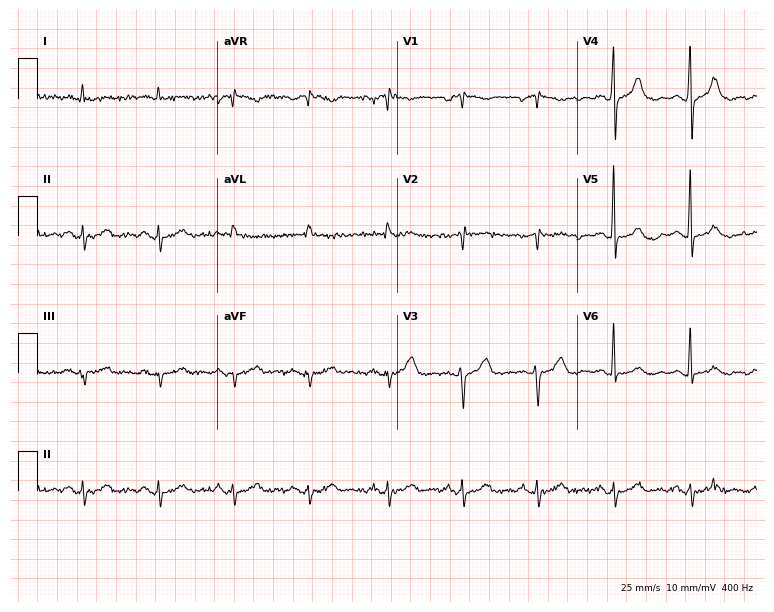
Resting 12-lead electrocardiogram. Patient: an 82-year-old man. None of these six findings is recorded: first-degree AV block, right bundle branch block (RBBB), left bundle branch block (LBBB), sinus bradycardia, atrial fibrillation (AF), sinus tachycardia. Other findings, if any, are not listed.